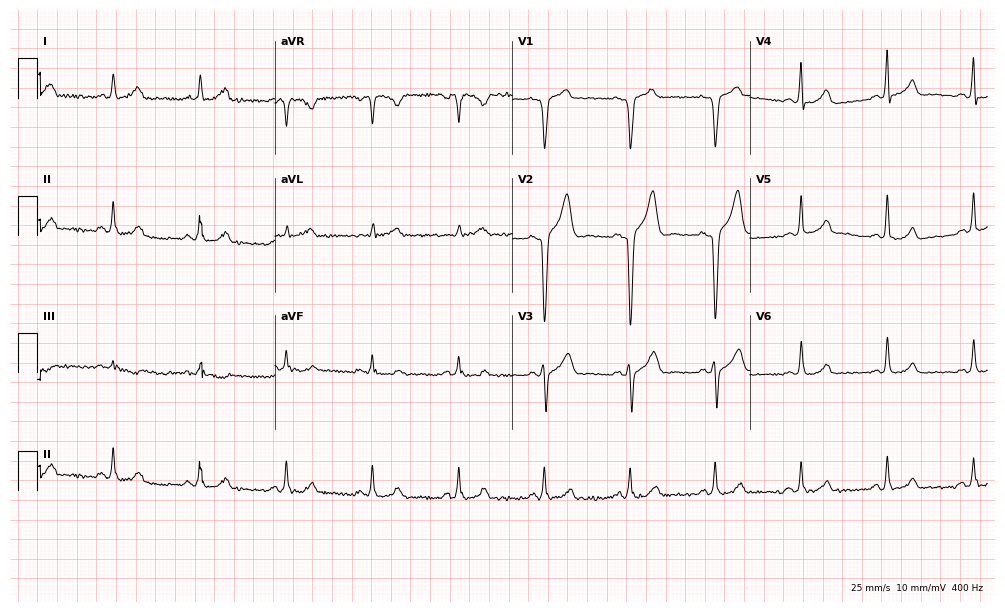
Resting 12-lead electrocardiogram. Patient: a 47-year-old male. None of these six findings is recorded: first-degree AV block, right bundle branch block, left bundle branch block, sinus bradycardia, atrial fibrillation, sinus tachycardia. Other findings, if any, are not listed.